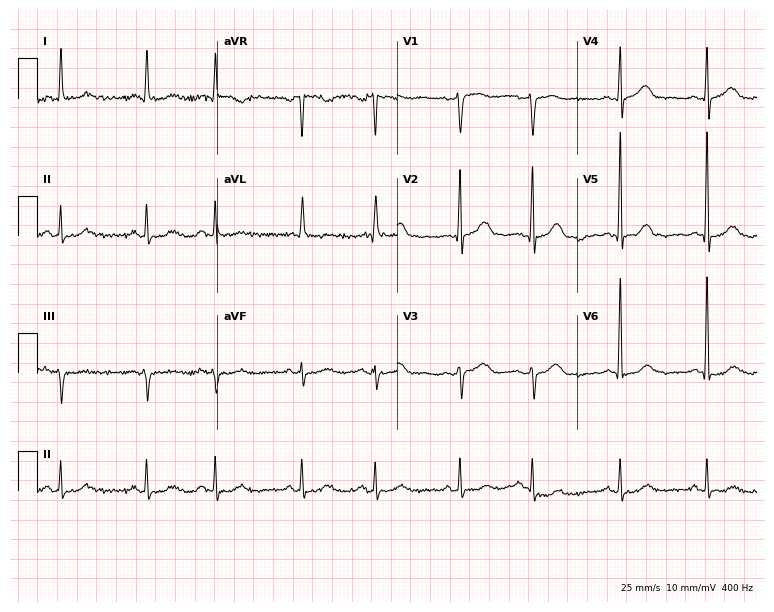
12-lead ECG (7.3-second recording at 400 Hz) from a woman, 75 years old. Screened for six findings — first-degree AV block, right bundle branch block, left bundle branch block, sinus bradycardia, atrial fibrillation, sinus tachycardia — none is recorded.